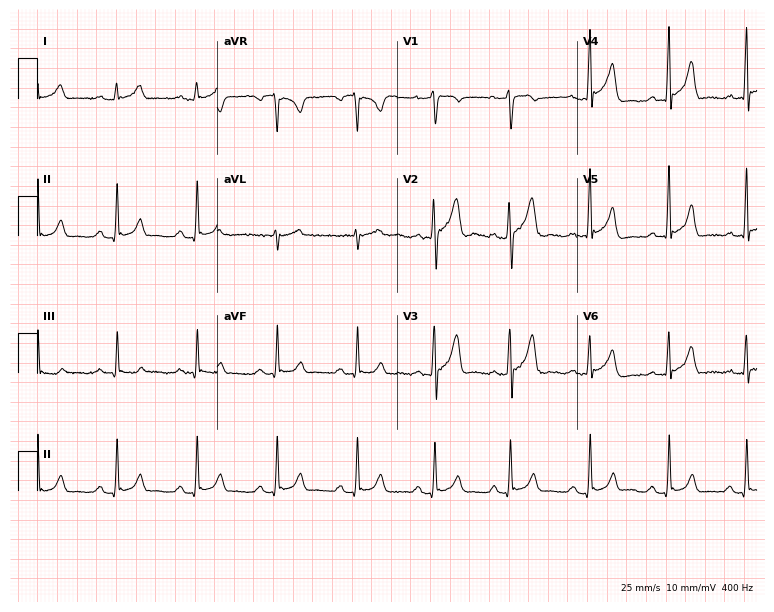
ECG — a 38-year-old male. Labelled as a normal ECG.